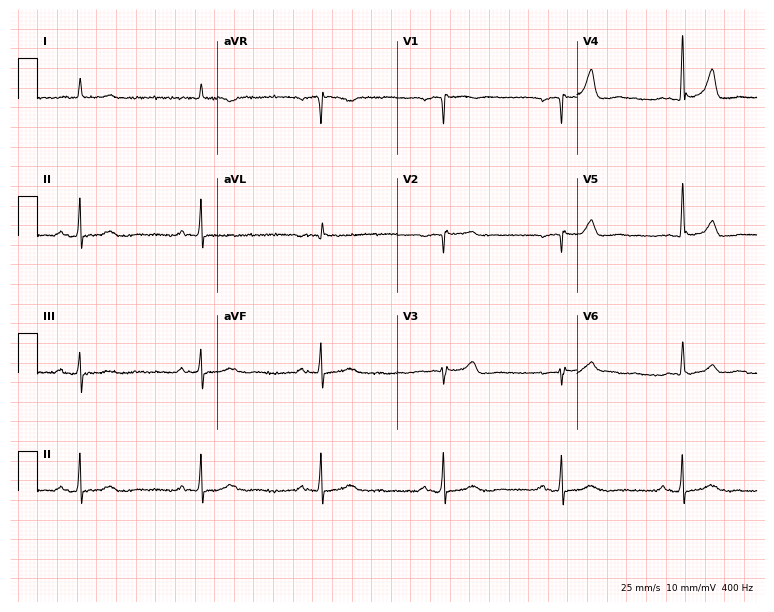
Standard 12-lead ECG recorded from a man, 75 years old. None of these six findings is recorded: first-degree AV block, right bundle branch block, left bundle branch block, sinus bradycardia, atrial fibrillation, sinus tachycardia. Other findings, if any, are not listed.